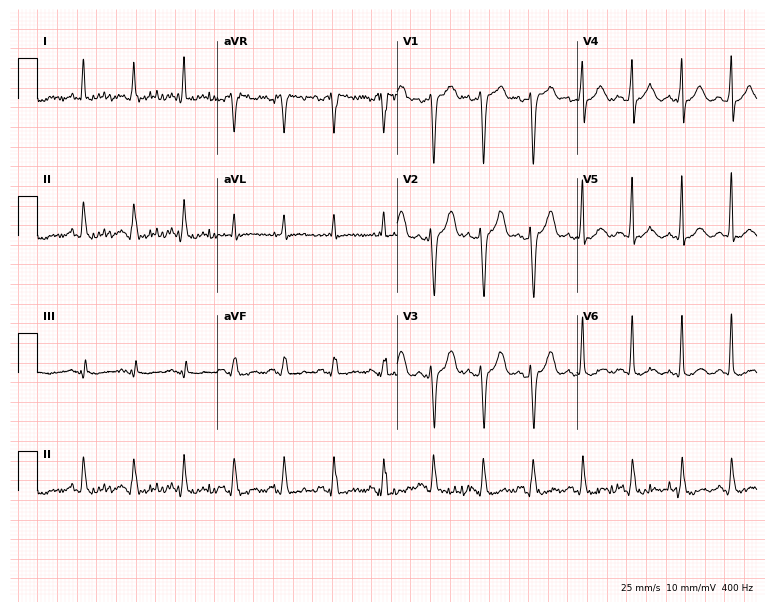
Resting 12-lead electrocardiogram (7.3-second recording at 400 Hz). Patient: a man, 58 years old. The tracing shows sinus tachycardia (a sinus rate of 100 beats per minute or more).